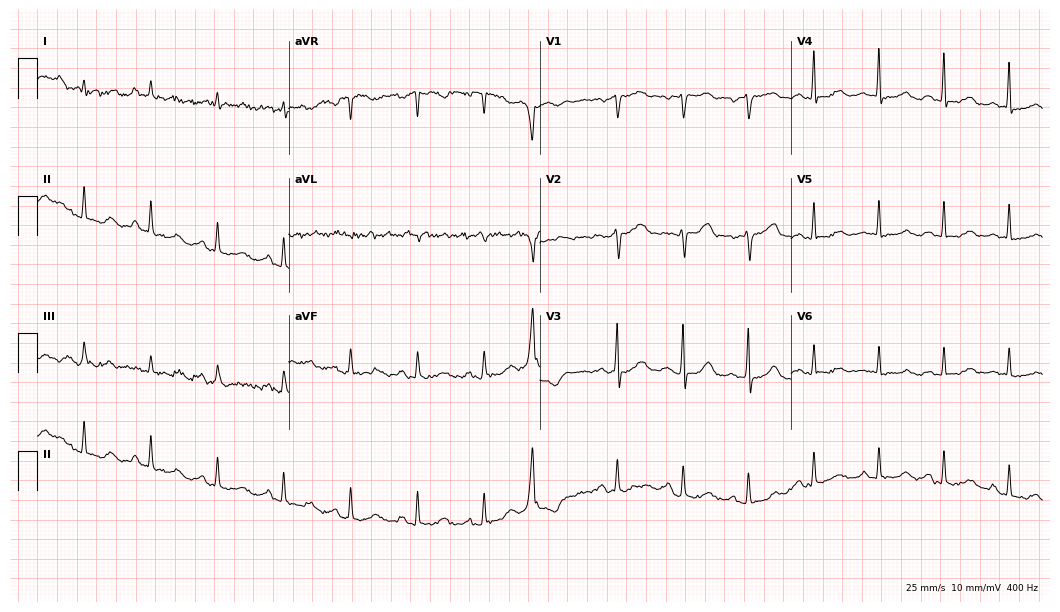
Electrocardiogram (10.2-second recording at 400 Hz), a female patient, 78 years old. Of the six screened findings (first-degree AV block, right bundle branch block, left bundle branch block, sinus bradycardia, atrial fibrillation, sinus tachycardia), none is recorded.